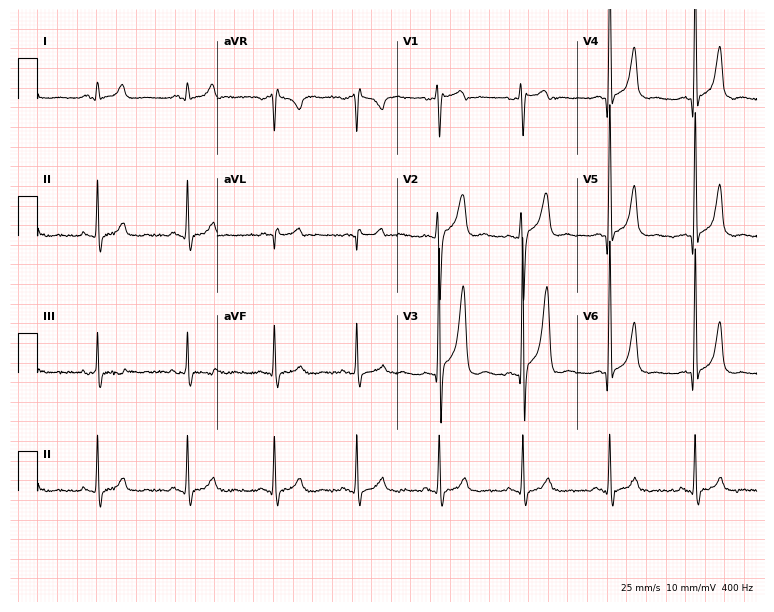
Resting 12-lead electrocardiogram. Patient: a 27-year-old male. None of these six findings is recorded: first-degree AV block, right bundle branch block (RBBB), left bundle branch block (LBBB), sinus bradycardia, atrial fibrillation (AF), sinus tachycardia. Other findings, if any, are not listed.